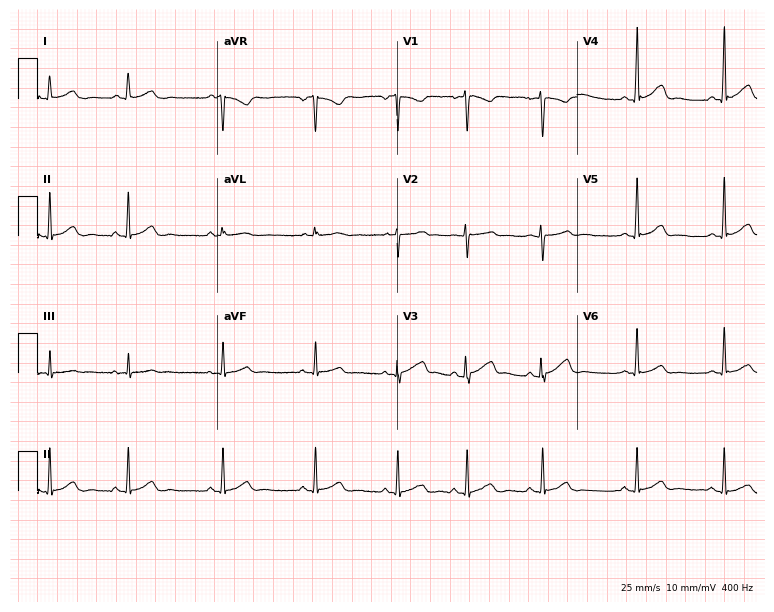
Resting 12-lead electrocardiogram. Patient: a 36-year-old female. Read as a normal ECG.